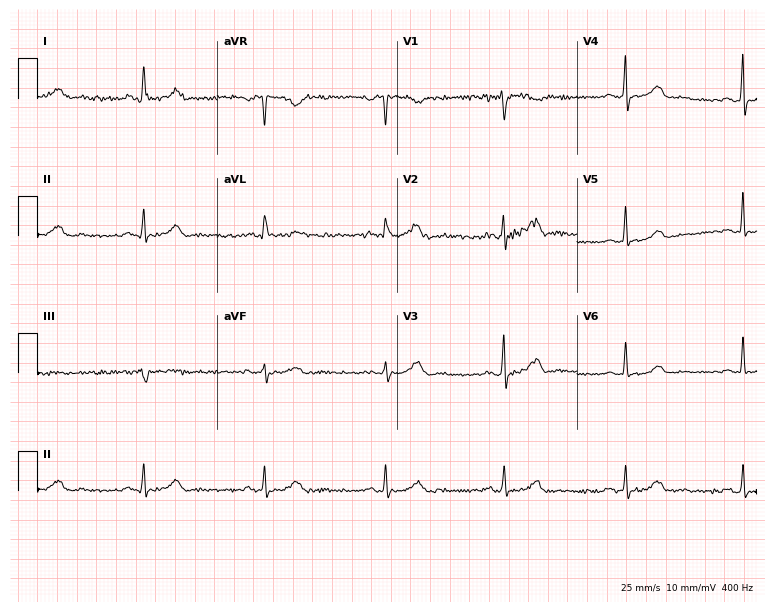
Resting 12-lead electrocardiogram (7.3-second recording at 400 Hz). Patient: a 54-year-old female. None of these six findings is recorded: first-degree AV block, right bundle branch block, left bundle branch block, sinus bradycardia, atrial fibrillation, sinus tachycardia. Other findings, if any, are not listed.